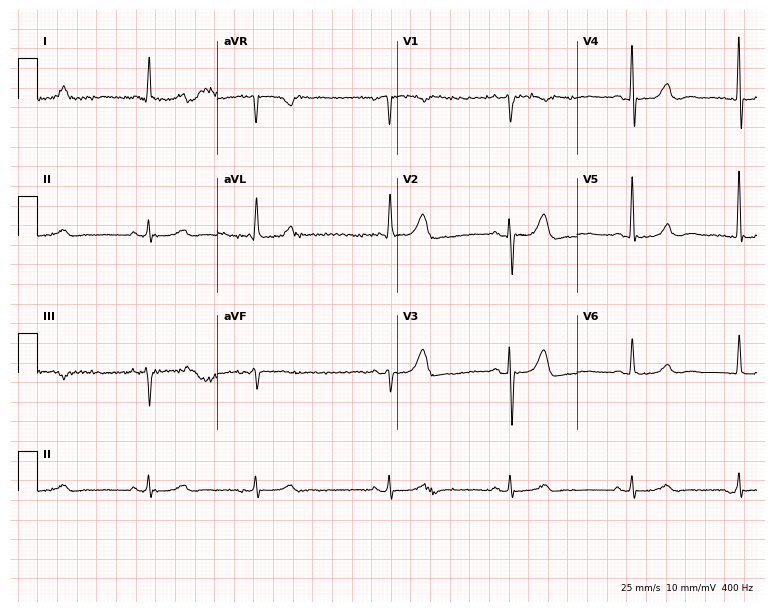
Resting 12-lead electrocardiogram (7.3-second recording at 400 Hz). Patient: a male, 85 years old. The tracing shows sinus bradycardia (a sinus rate of 50 beats per minute or less).